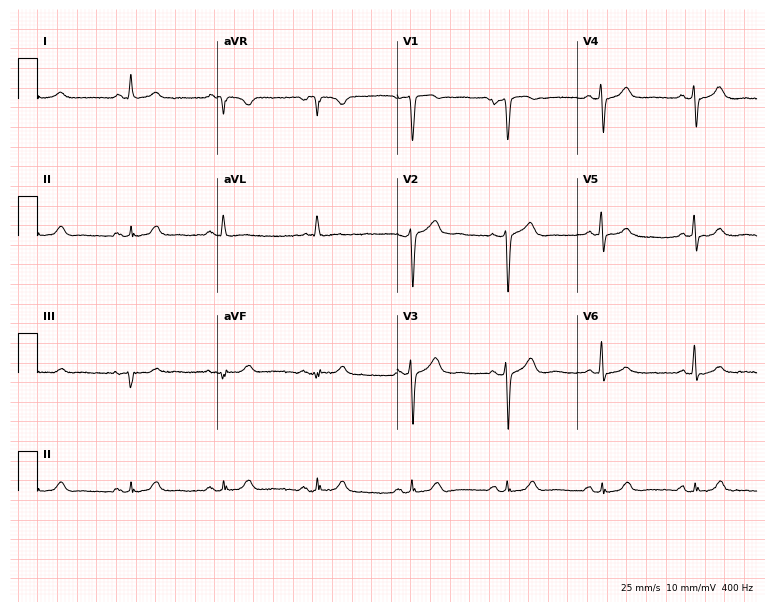
Resting 12-lead electrocardiogram (7.3-second recording at 400 Hz). Patient: an 81-year-old male. Read as a normal ECG.